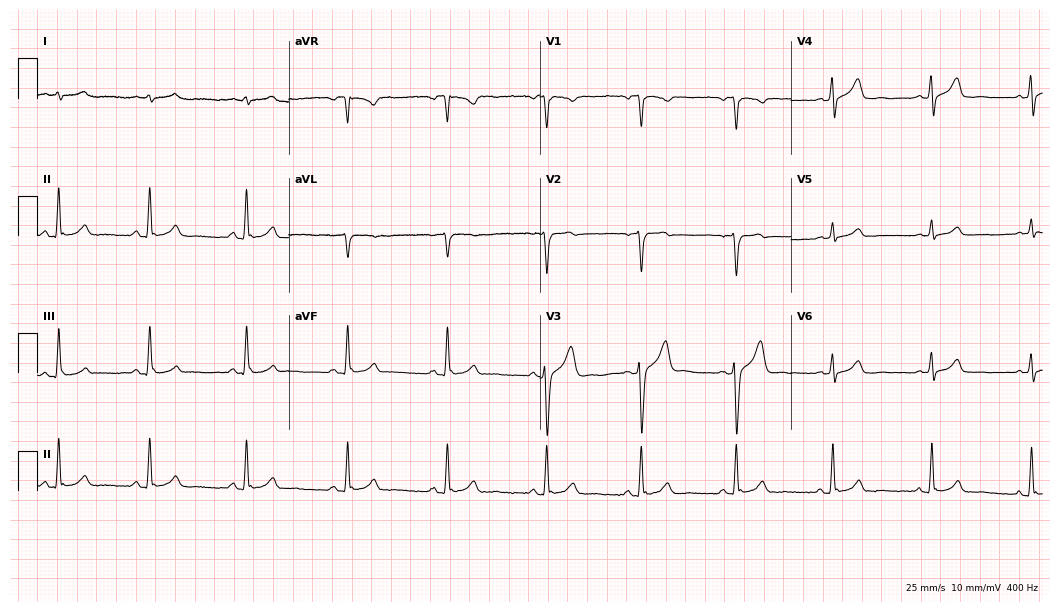
12-lead ECG from a man, 27 years old. No first-degree AV block, right bundle branch block, left bundle branch block, sinus bradycardia, atrial fibrillation or sinus tachycardia recorded for this tracing.